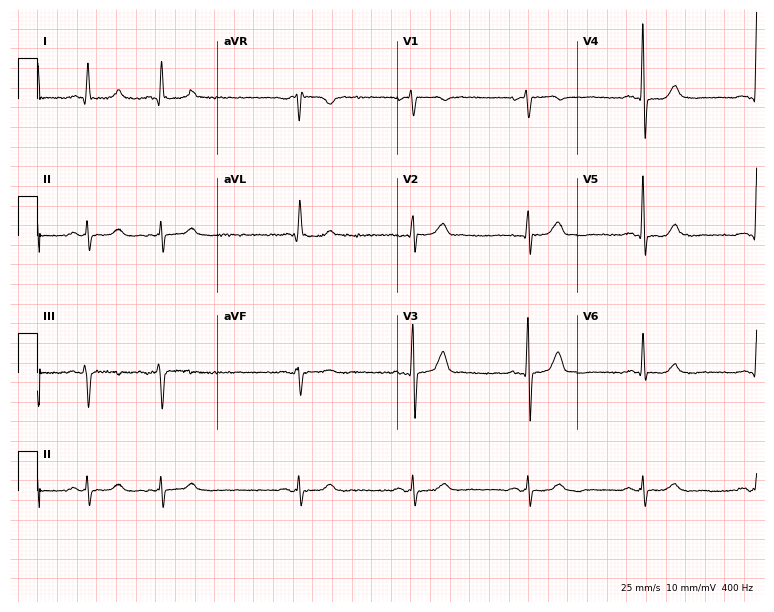
12-lead ECG (7.3-second recording at 400 Hz) from an 81-year-old male patient. Screened for six findings — first-degree AV block, right bundle branch block, left bundle branch block, sinus bradycardia, atrial fibrillation, sinus tachycardia — none is recorded. Only these six findings were labelled.